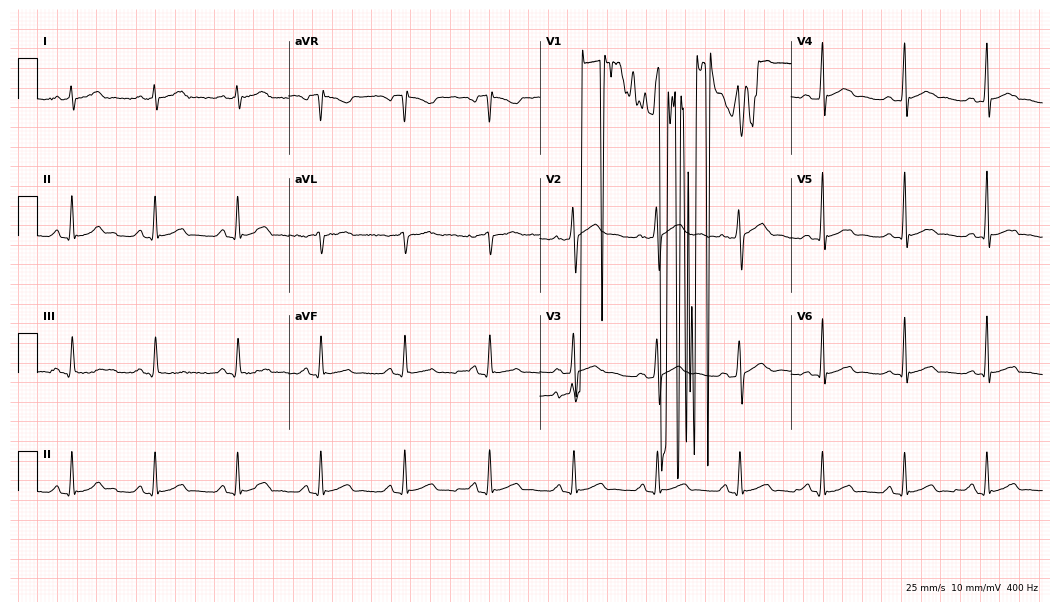
Electrocardiogram, a man, 40 years old. Of the six screened findings (first-degree AV block, right bundle branch block (RBBB), left bundle branch block (LBBB), sinus bradycardia, atrial fibrillation (AF), sinus tachycardia), none is recorded.